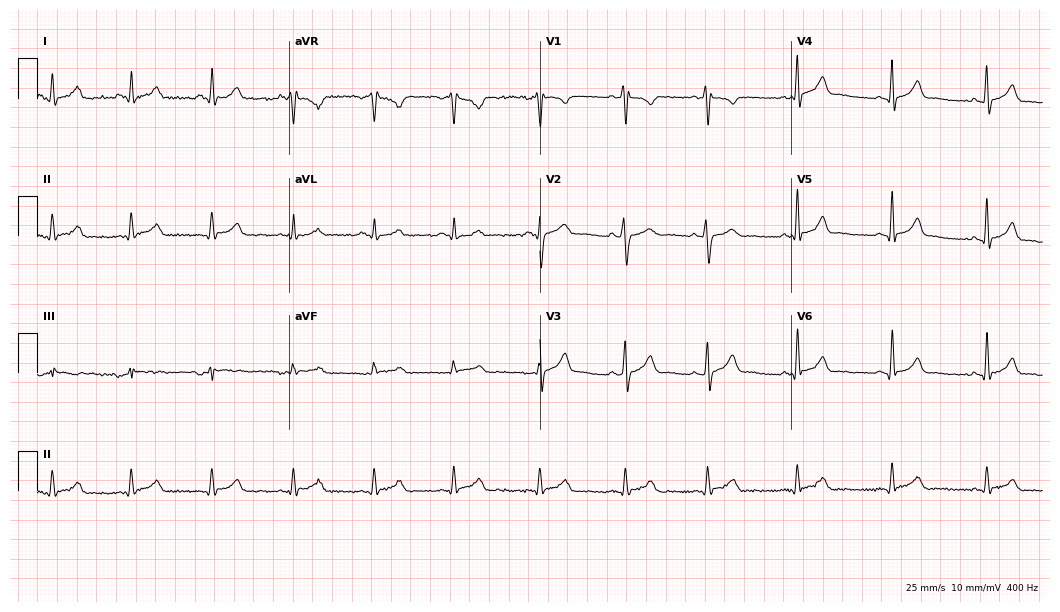
Resting 12-lead electrocardiogram (10.2-second recording at 400 Hz). Patient: a man, 34 years old. Read as a normal ECG.